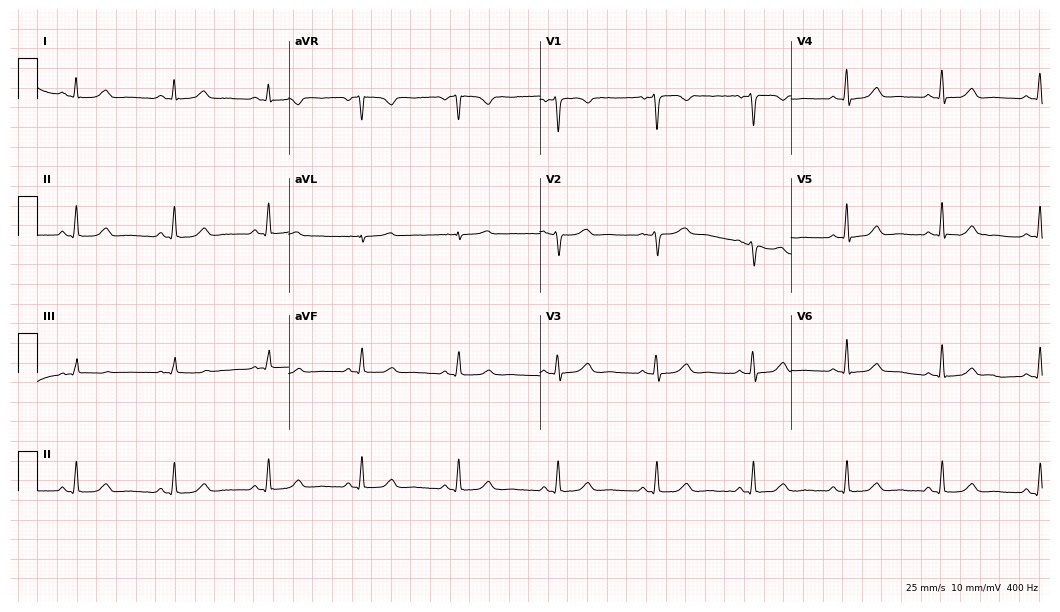
Electrocardiogram, a woman, 47 years old. Overall reading on record: normal ECG.